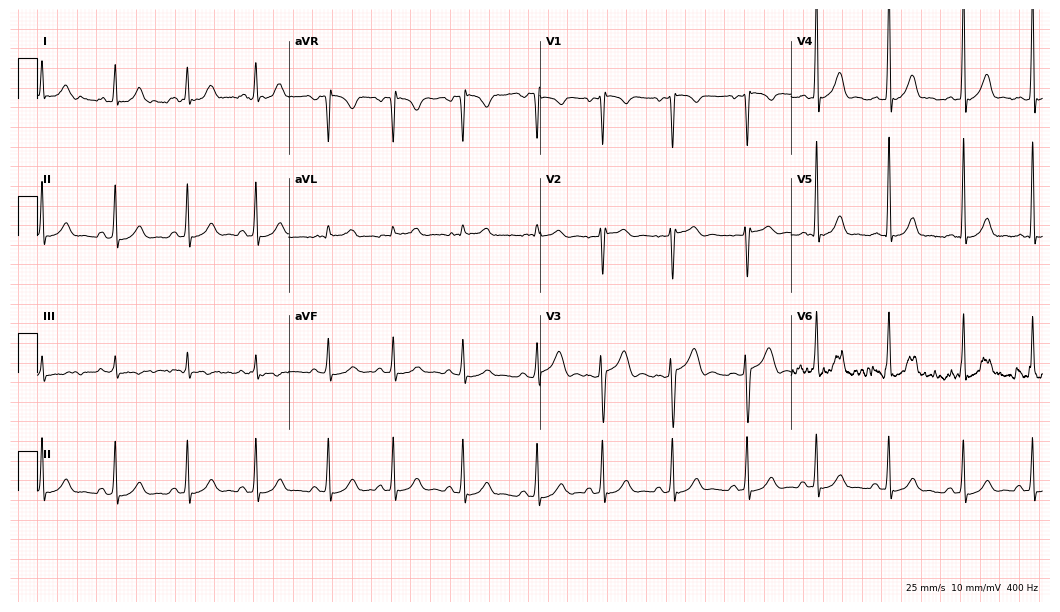
Resting 12-lead electrocardiogram (10.2-second recording at 400 Hz). Patient: a 17-year-old male. Read as a normal ECG.